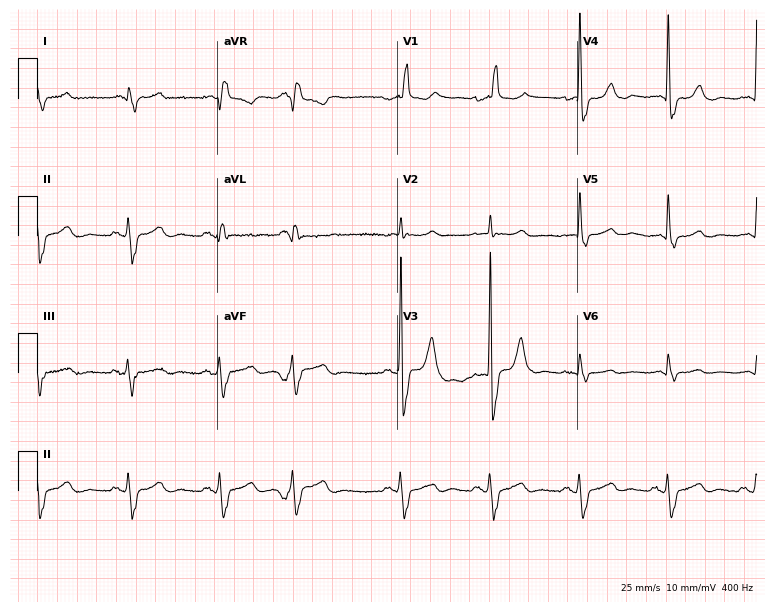
12-lead ECG from a 73-year-old man. Shows right bundle branch block (RBBB).